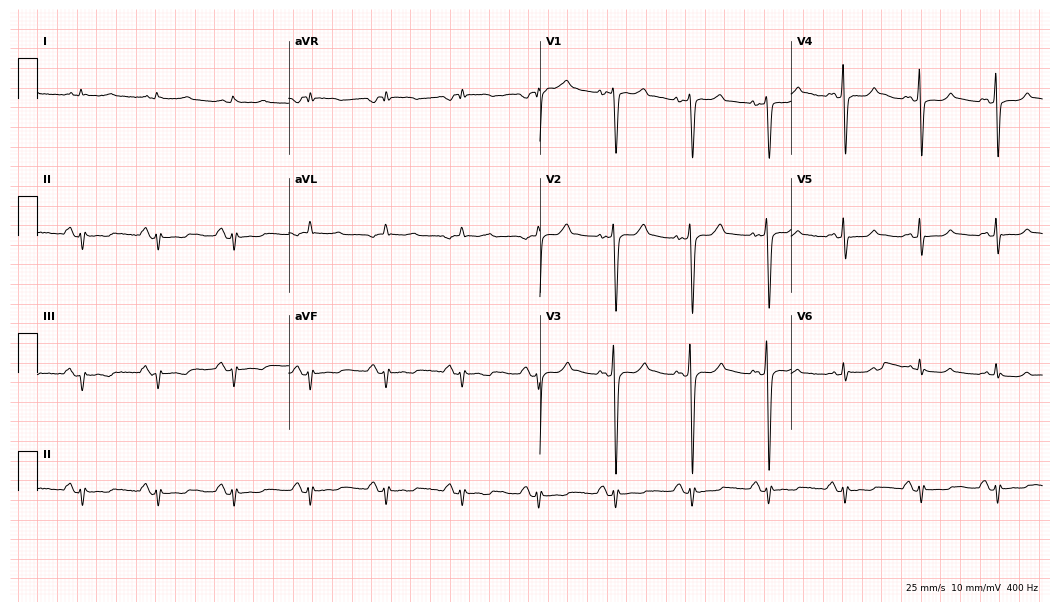
ECG (10.2-second recording at 400 Hz) — a male patient, 64 years old. Screened for six findings — first-degree AV block, right bundle branch block, left bundle branch block, sinus bradycardia, atrial fibrillation, sinus tachycardia — none is recorded. Findings outside these six are not listed.